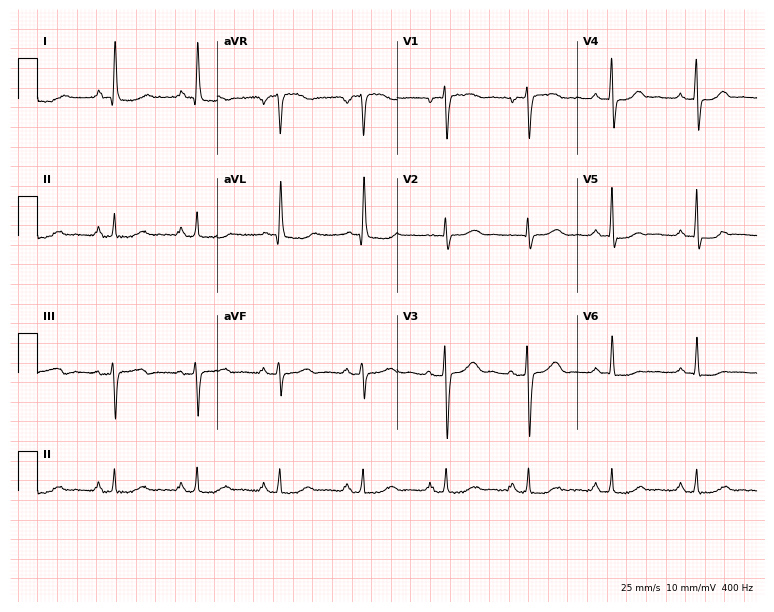
12-lead ECG from a 74-year-old woman. Screened for six findings — first-degree AV block, right bundle branch block (RBBB), left bundle branch block (LBBB), sinus bradycardia, atrial fibrillation (AF), sinus tachycardia — none is recorded. Only these six findings were labelled.